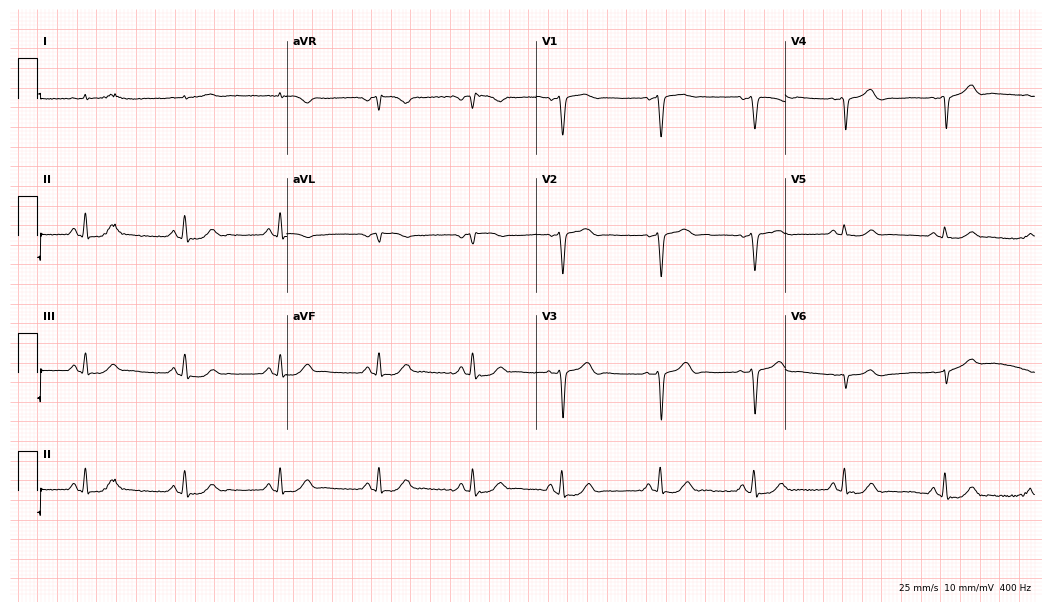
Electrocardiogram (10.2-second recording at 400 Hz), a 64-year-old man. Of the six screened findings (first-degree AV block, right bundle branch block, left bundle branch block, sinus bradycardia, atrial fibrillation, sinus tachycardia), none is recorded. Only these six findings were labelled.